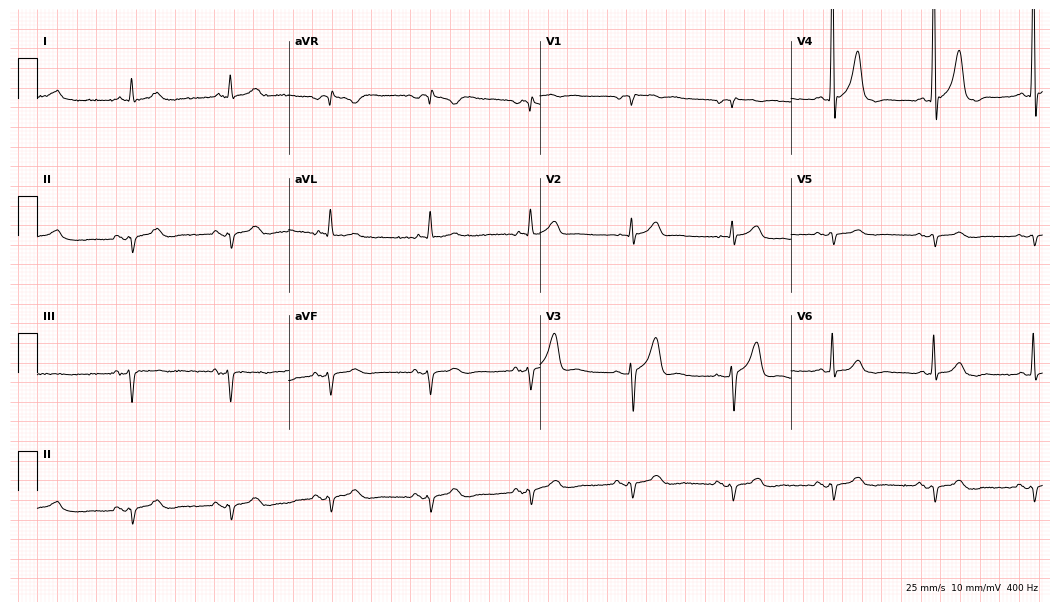
ECG — a 77-year-old man. Screened for six findings — first-degree AV block, right bundle branch block (RBBB), left bundle branch block (LBBB), sinus bradycardia, atrial fibrillation (AF), sinus tachycardia — none is recorded.